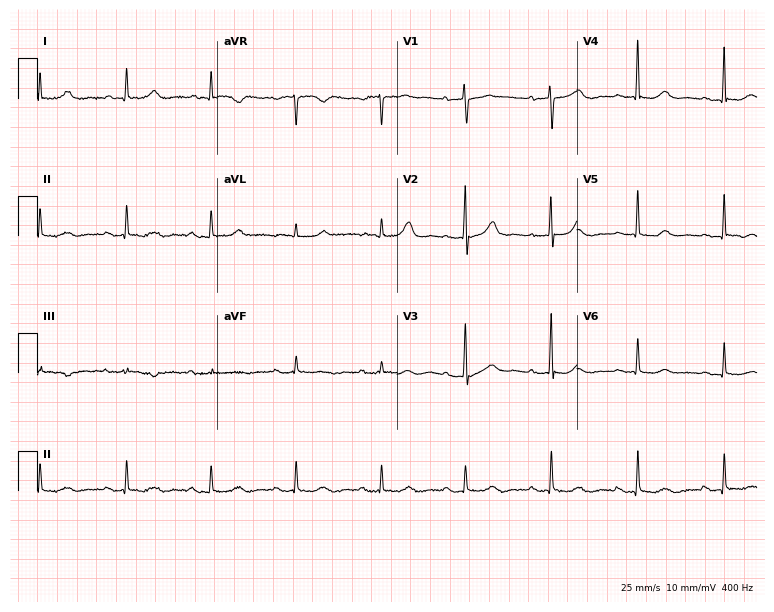
12-lead ECG (7.3-second recording at 400 Hz) from a woman, 77 years old. Screened for six findings — first-degree AV block, right bundle branch block, left bundle branch block, sinus bradycardia, atrial fibrillation, sinus tachycardia — none is recorded. Only these six findings were labelled.